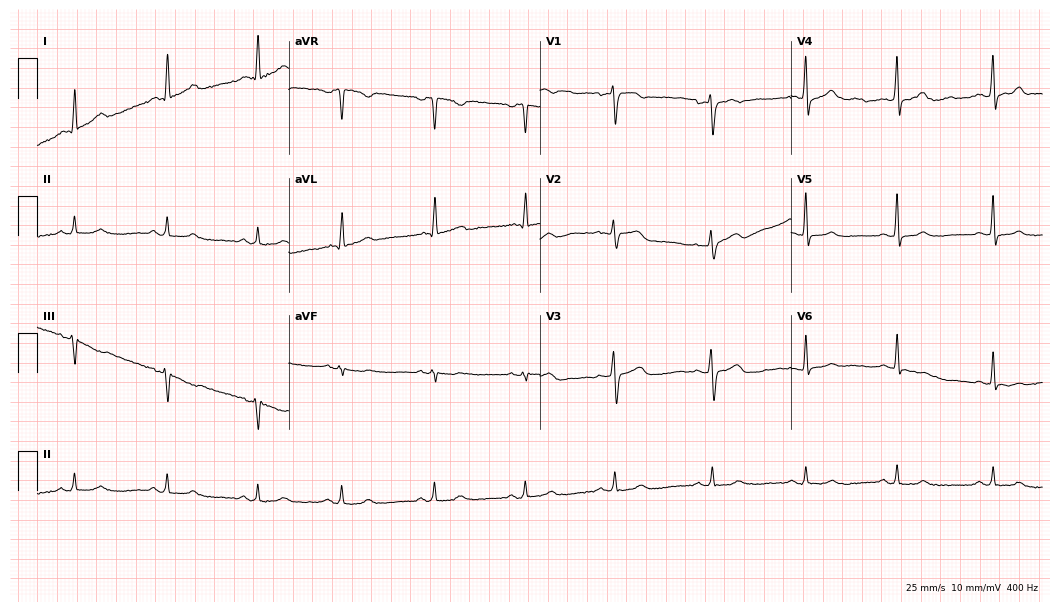
12-lead ECG (10.2-second recording at 400 Hz) from a 46-year-old female. Screened for six findings — first-degree AV block, right bundle branch block, left bundle branch block, sinus bradycardia, atrial fibrillation, sinus tachycardia — none is recorded. Only these six findings were labelled.